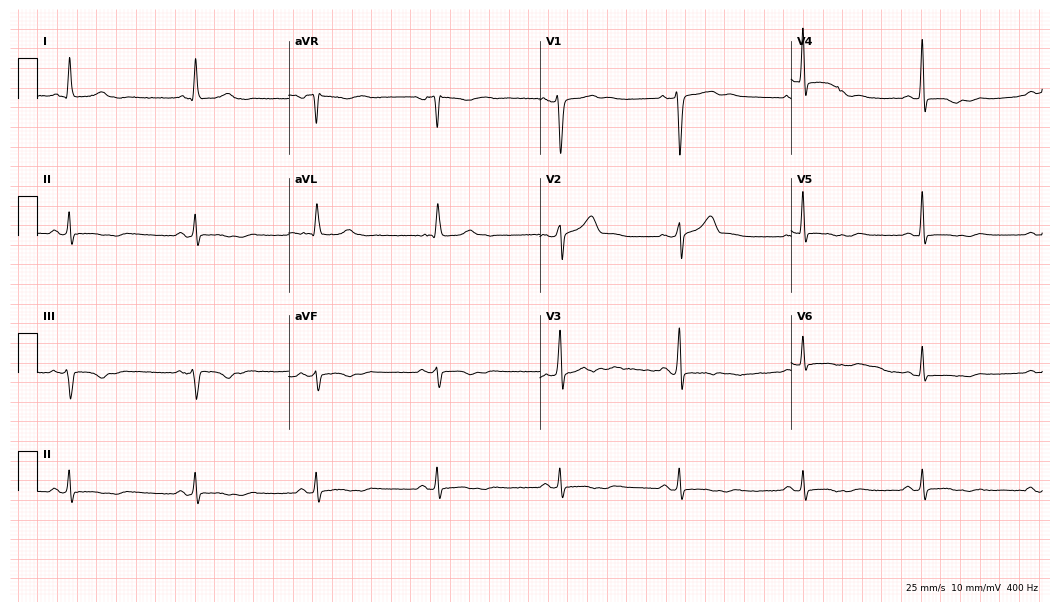
ECG — a 58-year-old man. Findings include sinus bradycardia (a sinus rate of 50 beats per minute or less).